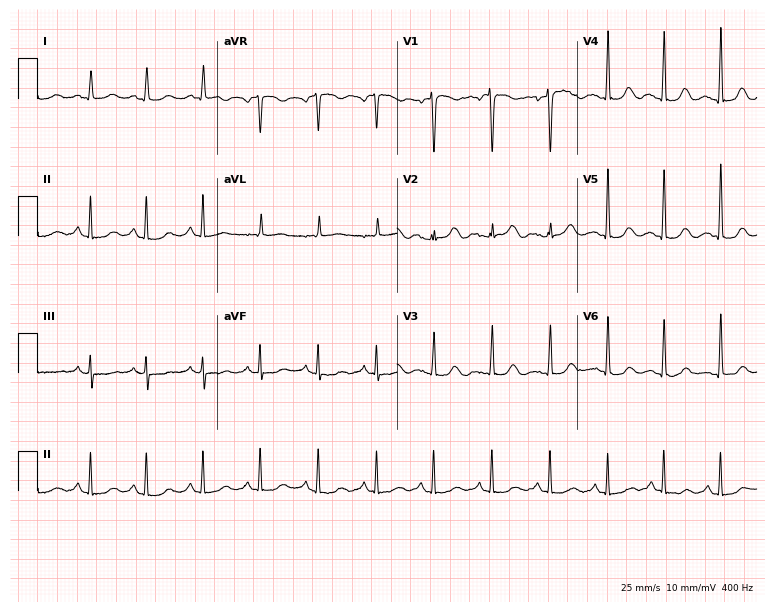
Resting 12-lead electrocardiogram. Patient: a 30-year-old male. None of these six findings is recorded: first-degree AV block, right bundle branch block, left bundle branch block, sinus bradycardia, atrial fibrillation, sinus tachycardia.